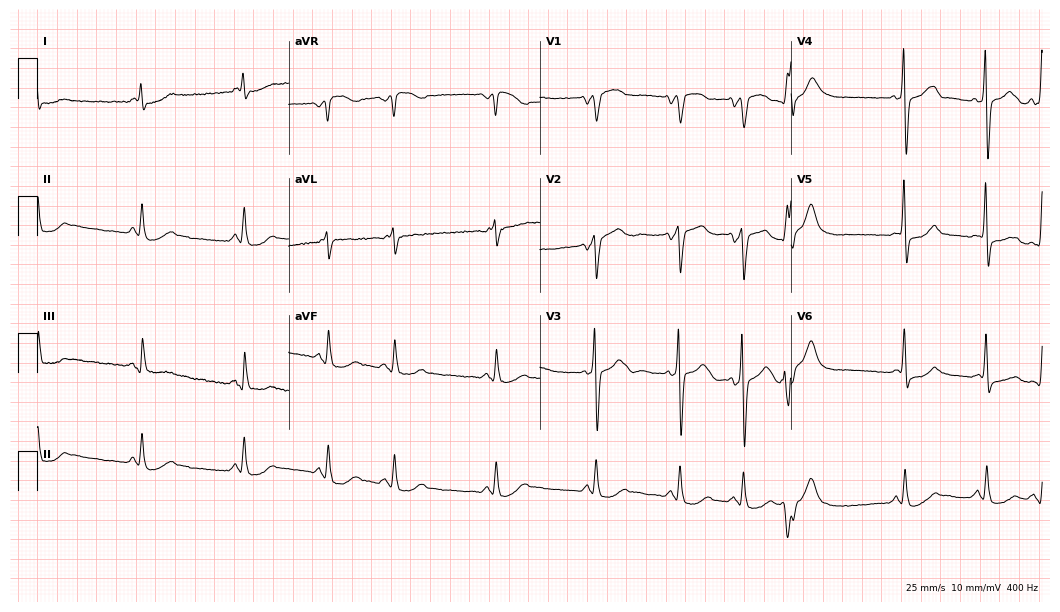
ECG — a 74-year-old male. Screened for six findings — first-degree AV block, right bundle branch block, left bundle branch block, sinus bradycardia, atrial fibrillation, sinus tachycardia — none is recorded. Findings outside these six are not listed.